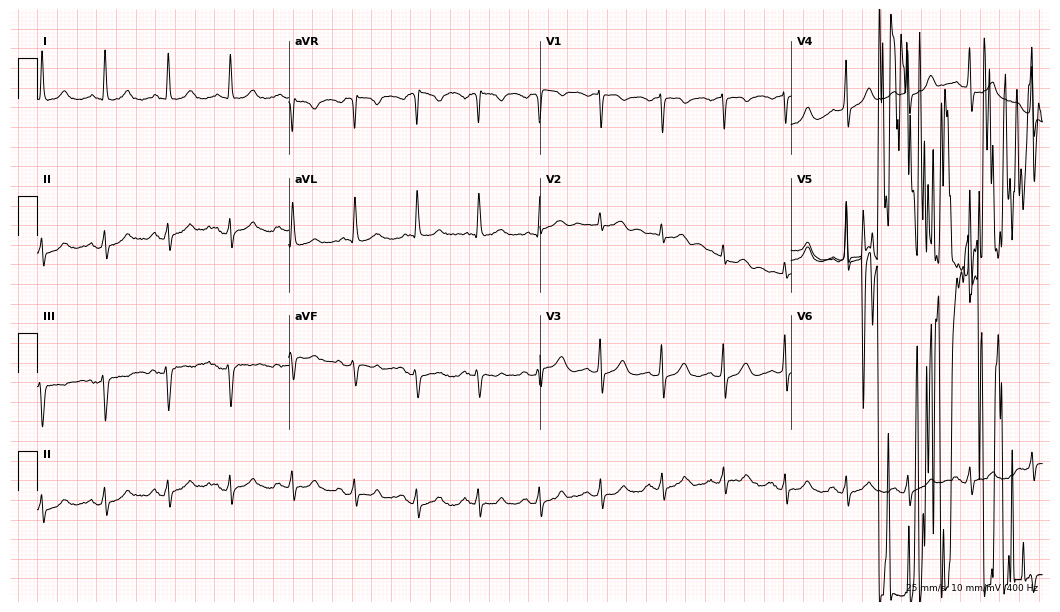
Electrocardiogram (10.2-second recording at 400 Hz), a 76-year-old woman. Overall reading on record: normal ECG.